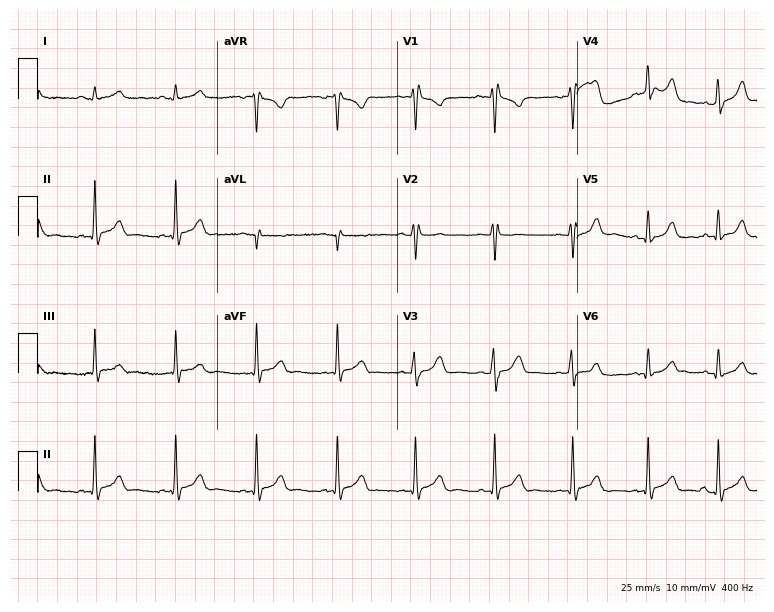
Resting 12-lead electrocardiogram (7.3-second recording at 400 Hz). Patient: a 32-year-old man. None of these six findings is recorded: first-degree AV block, right bundle branch block (RBBB), left bundle branch block (LBBB), sinus bradycardia, atrial fibrillation (AF), sinus tachycardia.